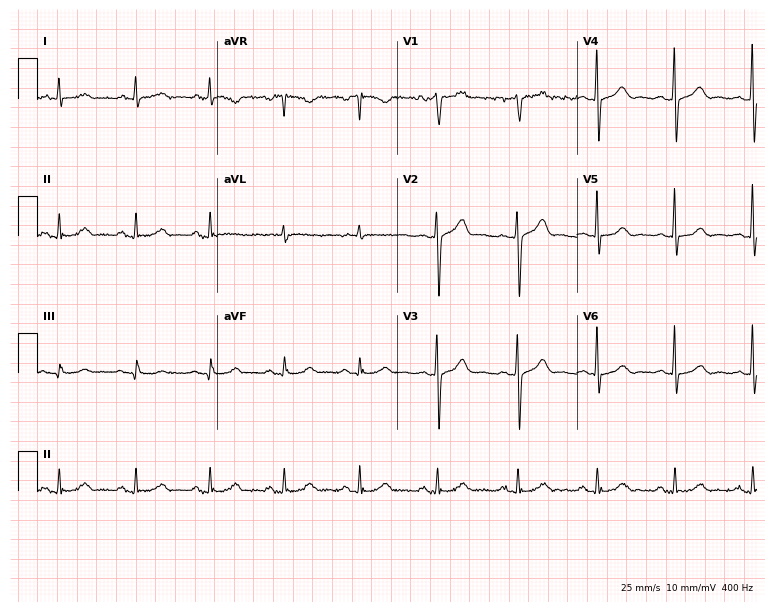
12-lead ECG from a 60-year-old male patient. No first-degree AV block, right bundle branch block, left bundle branch block, sinus bradycardia, atrial fibrillation or sinus tachycardia recorded for this tracing.